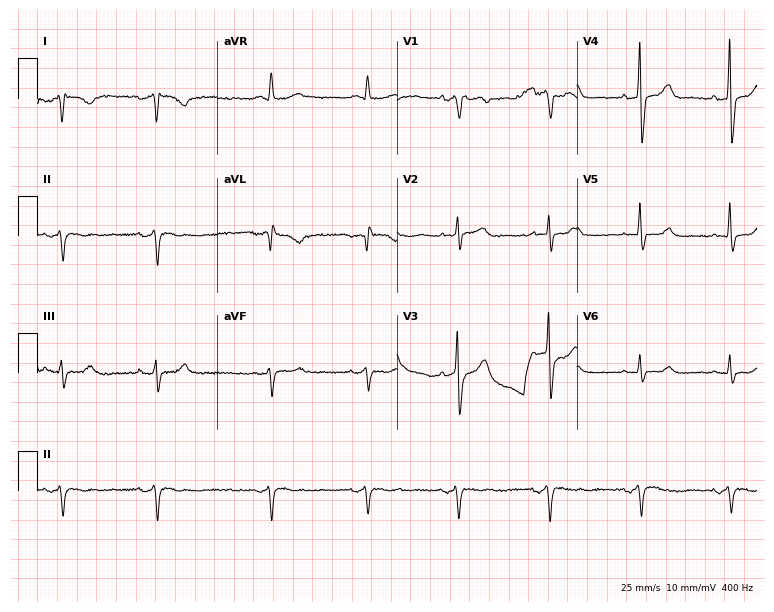
Standard 12-lead ECG recorded from a 69-year-old male (7.3-second recording at 400 Hz). None of these six findings is recorded: first-degree AV block, right bundle branch block, left bundle branch block, sinus bradycardia, atrial fibrillation, sinus tachycardia.